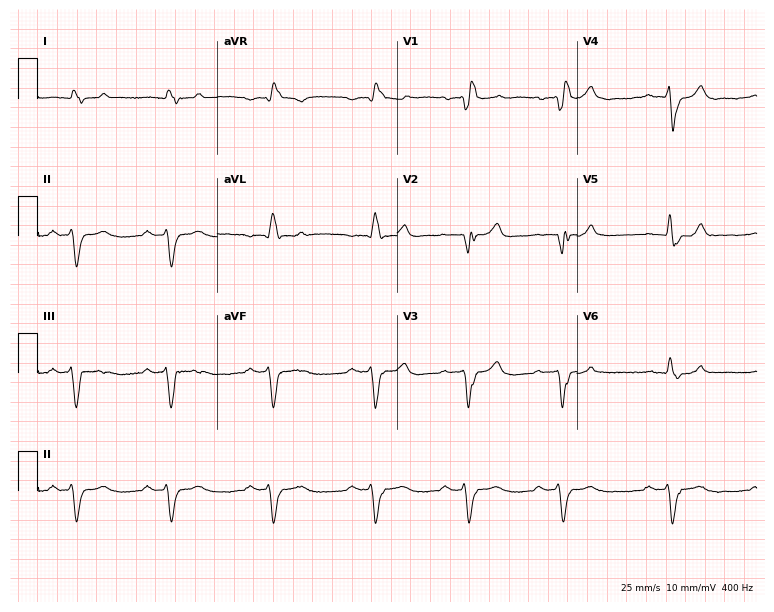
Resting 12-lead electrocardiogram (7.3-second recording at 400 Hz). Patient: a 77-year-old male. The tracing shows first-degree AV block, right bundle branch block.